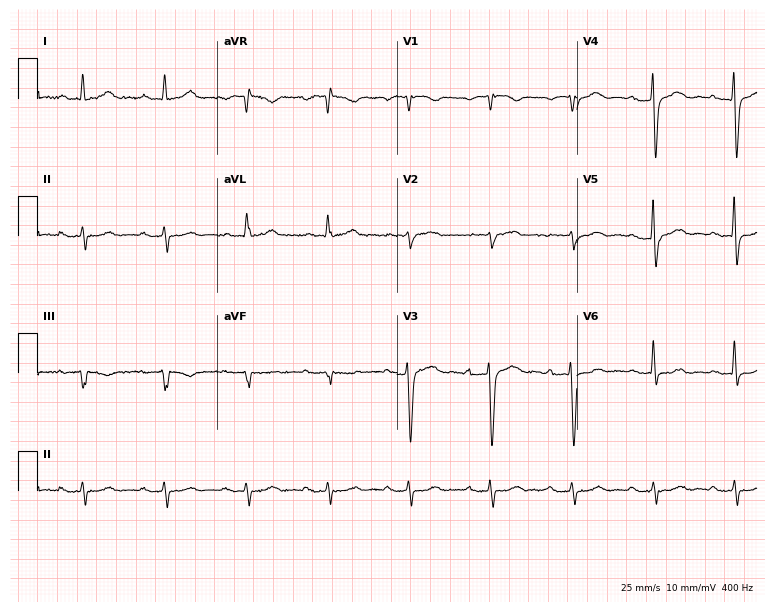
Standard 12-lead ECG recorded from a 65-year-old male. The tracing shows first-degree AV block.